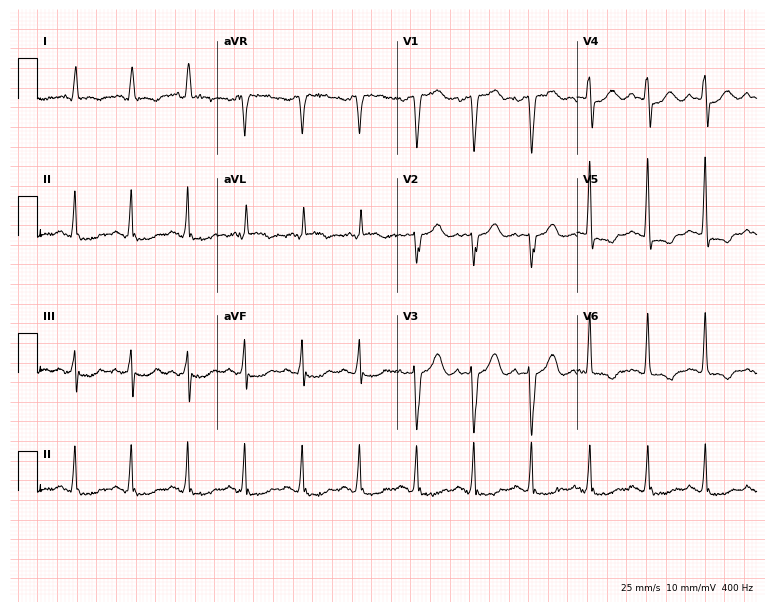
12-lead ECG from a man, 84 years old (7.3-second recording at 400 Hz). Shows sinus tachycardia (a sinus rate of 100 beats per minute or more).